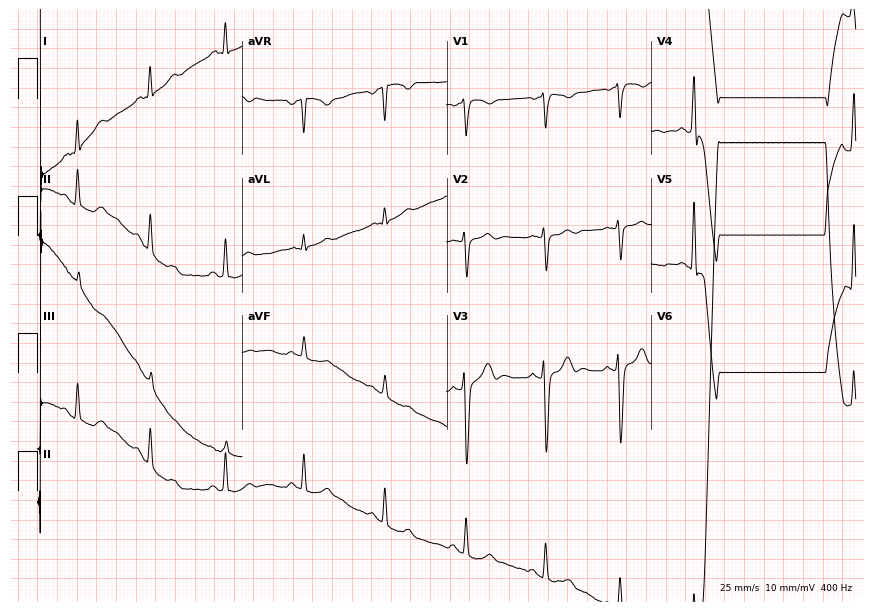
Resting 12-lead electrocardiogram. Patient: a 37-year-old male. None of these six findings is recorded: first-degree AV block, right bundle branch block (RBBB), left bundle branch block (LBBB), sinus bradycardia, atrial fibrillation (AF), sinus tachycardia. Other findings, if any, are not listed.